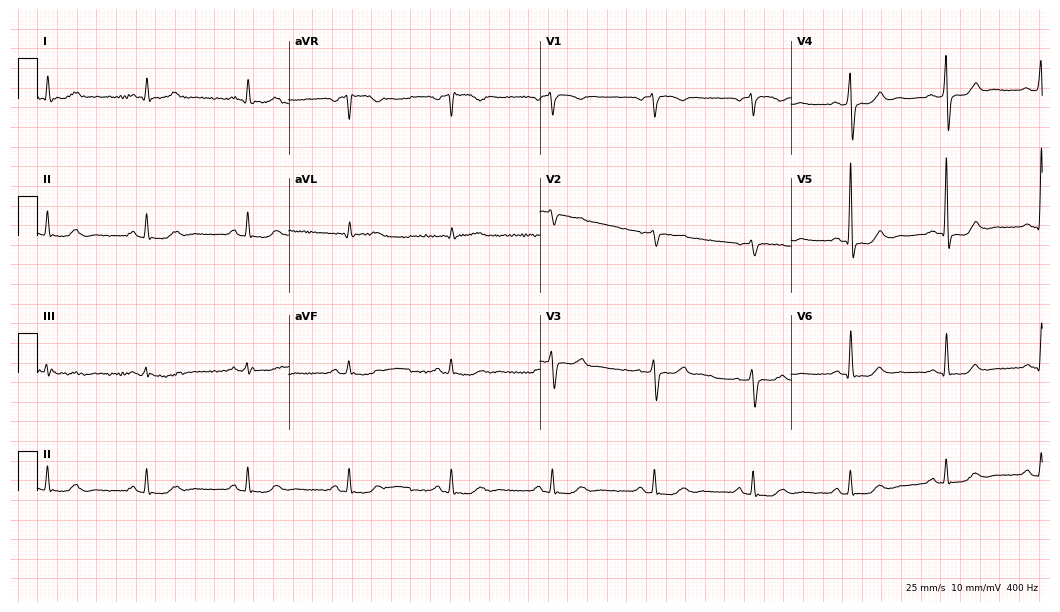
Resting 12-lead electrocardiogram. Patient: a male, 70 years old. None of these six findings is recorded: first-degree AV block, right bundle branch block, left bundle branch block, sinus bradycardia, atrial fibrillation, sinus tachycardia. Only these six findings were labelled.